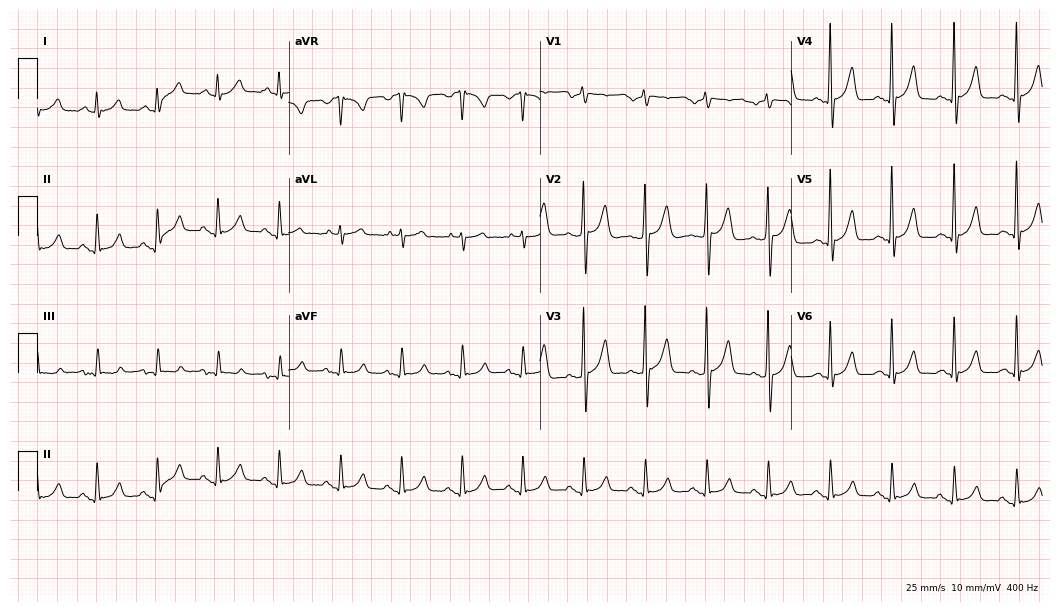
ECG — a male, 63 years old. Labelled as a normal ECG.